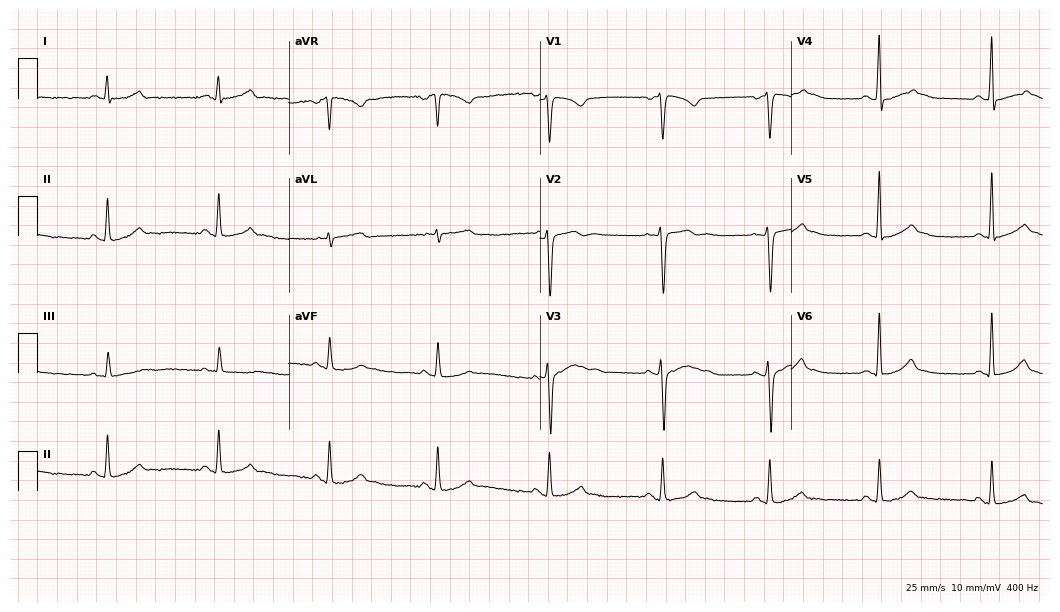
Electrocardiogram, a 28-year-old male patient. Overall reading on record: normal ECG.